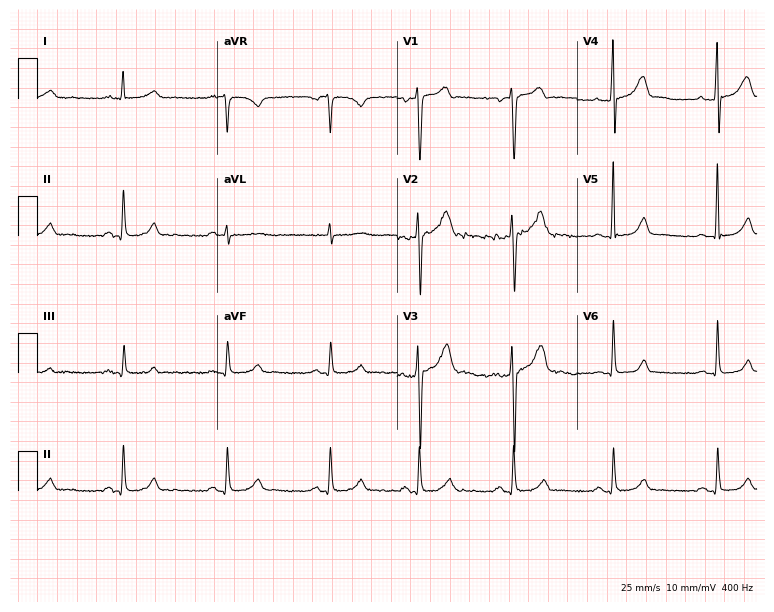
Standard 12-lead ECG recorded from a man, 46 years old. Read as a normal ECG.